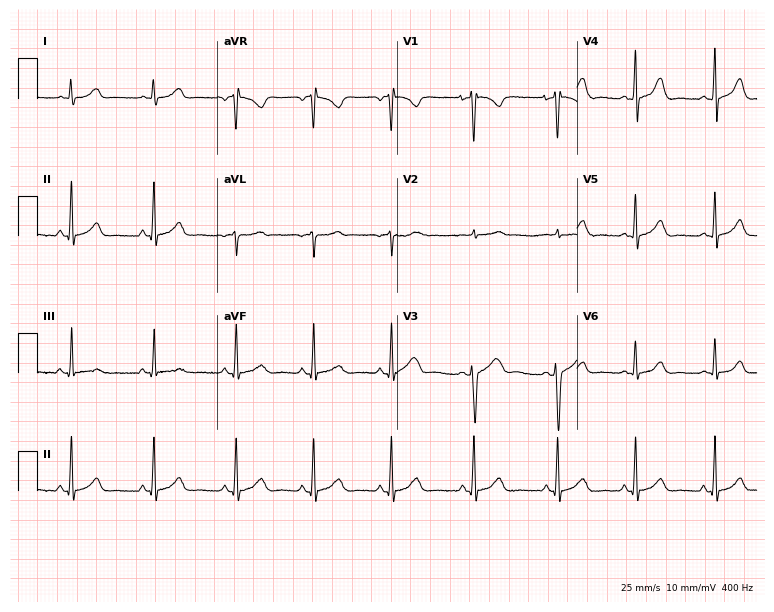
Resting 12-lead electrocardiogram (7.3-second recording at 400 Hz). Patient: a woman, 19 years old. Read as a normal ECG.